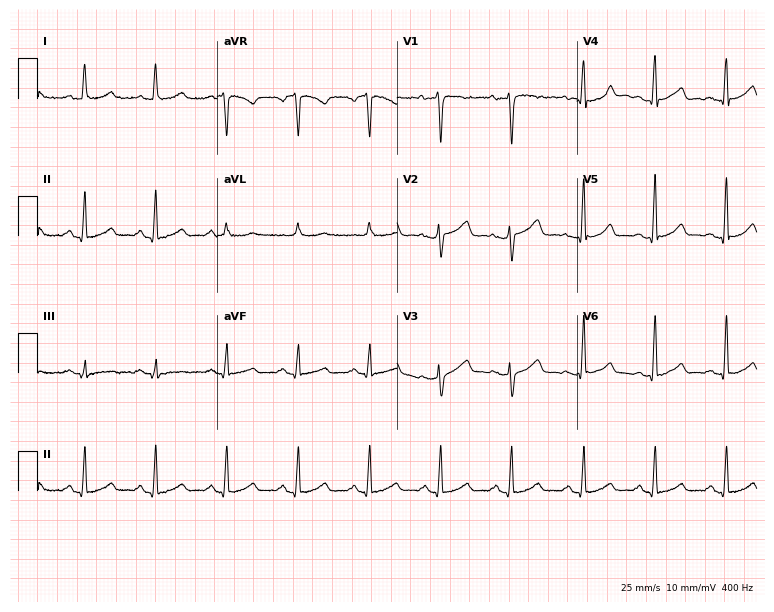
12-lead ECG from a female patient, 39 years old. Screened for six findings — first-degree AV block, right bundle branch block, left bundle branch block, sinus bradycardia, atrial fibrillation, sinus tachycardia — none is recorded.